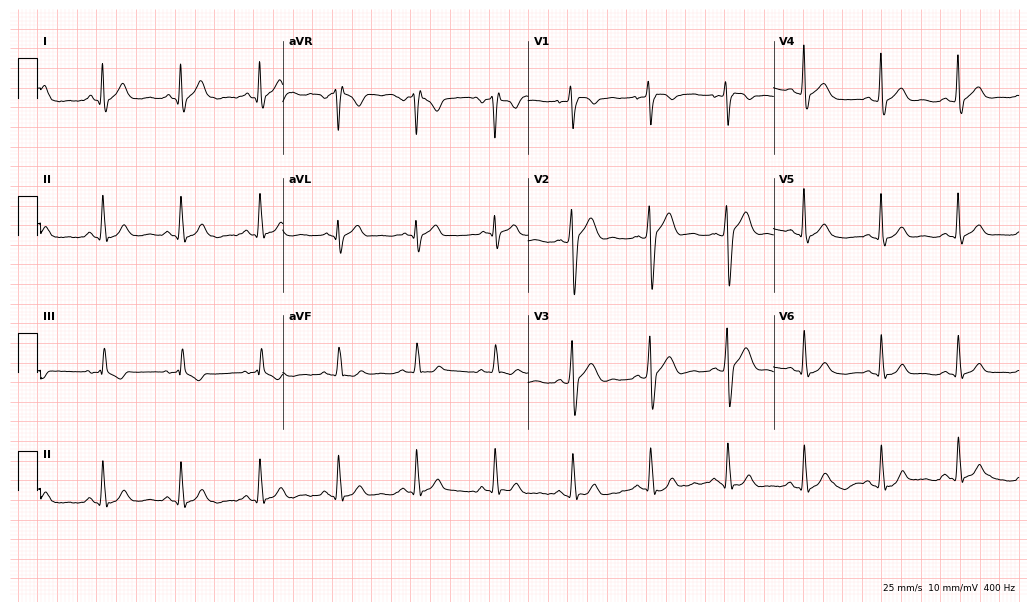
Standard 12-lead ECG recorded from a 40-year-old male patient. Read as a normal ECG.